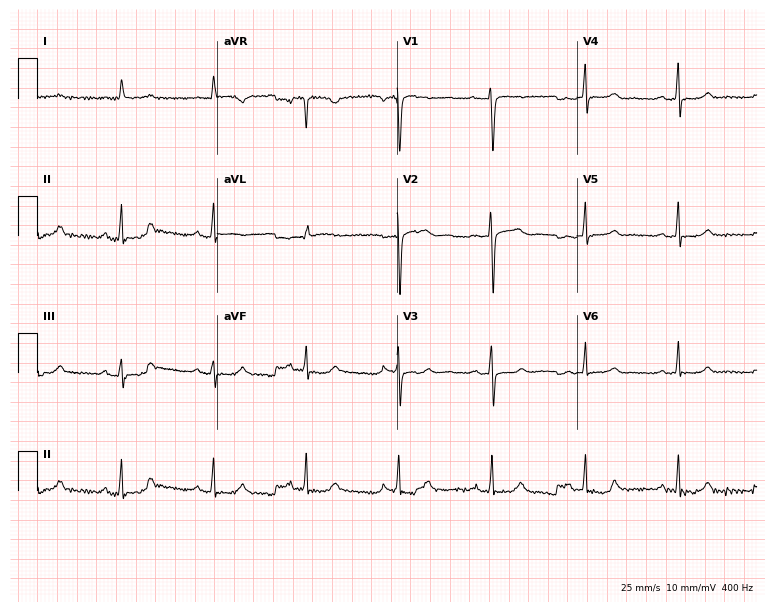
12-lead ECG from a woman, 57 years old. Screened for six findings — first-degree AV block, right bundle branch block, left bundle branch block, sinus bradycardia, atrial fibrillation, sinus tachycardia — none is recorded. Other findings, if any, are not listed.